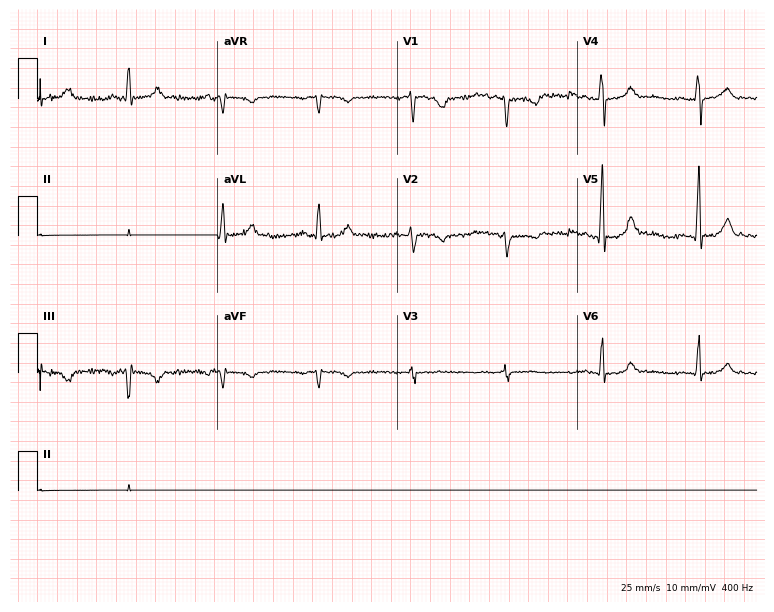
Resting 12-lead electrocardiogram. Patient: a female, 64 years old. Read as a normal ECG.